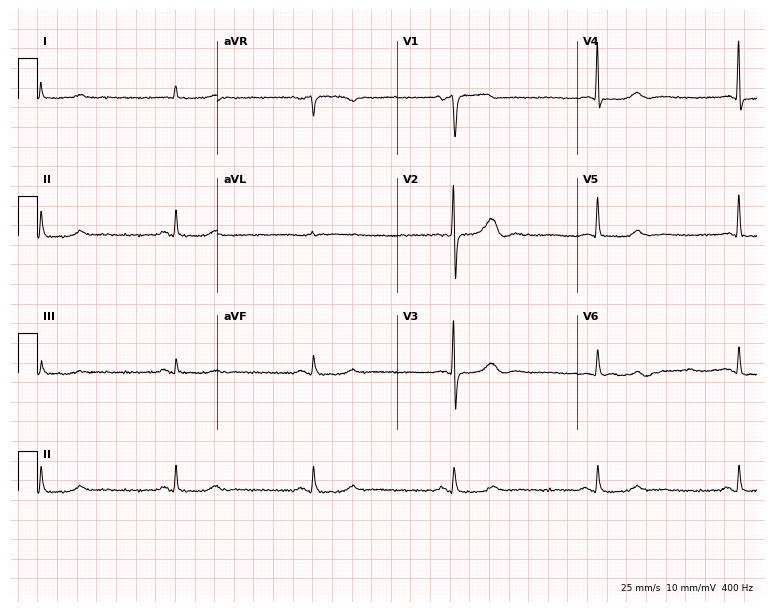
ECG (7.3-second recording at 400 Hz) — a female, 73 years old. Screened for six findings — first-degree AV block, right bundle branch block, left bundle branch block, sinus bradycardia, atrial fibrillation, sinus tachycardia — none is recorded.